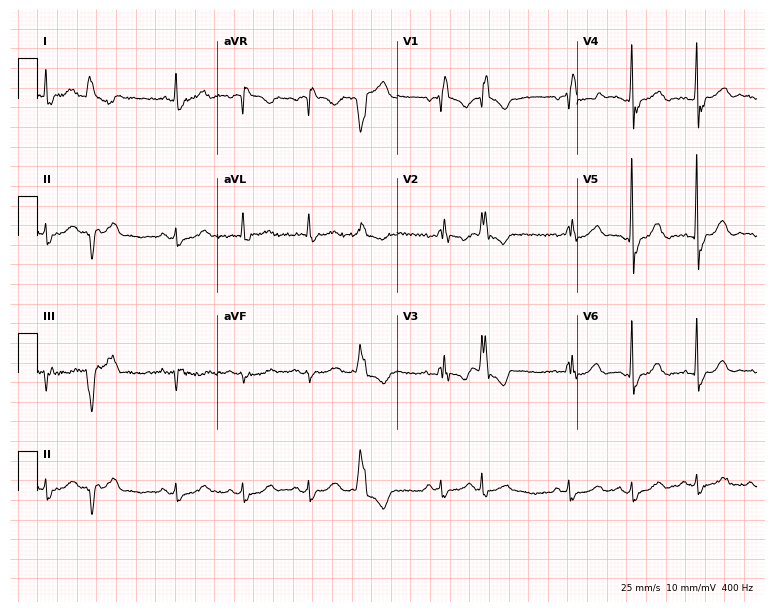
Resting 12-lead electrocardiogram. Patient: a 74-year-old woman. The tracing shows right bundle branch block.